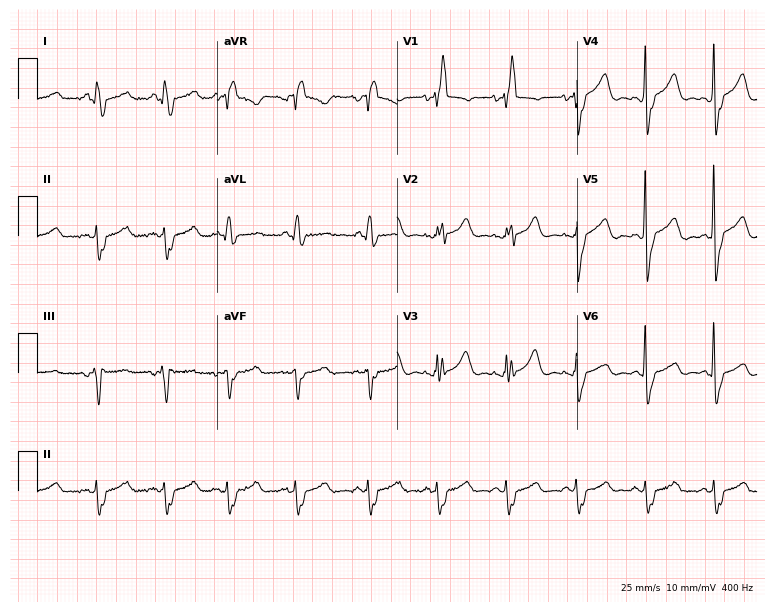
12-lead ECG (7.3-second recording at 400 Hz) from a 71-year-old female patient. Findings include right bundle branch block.